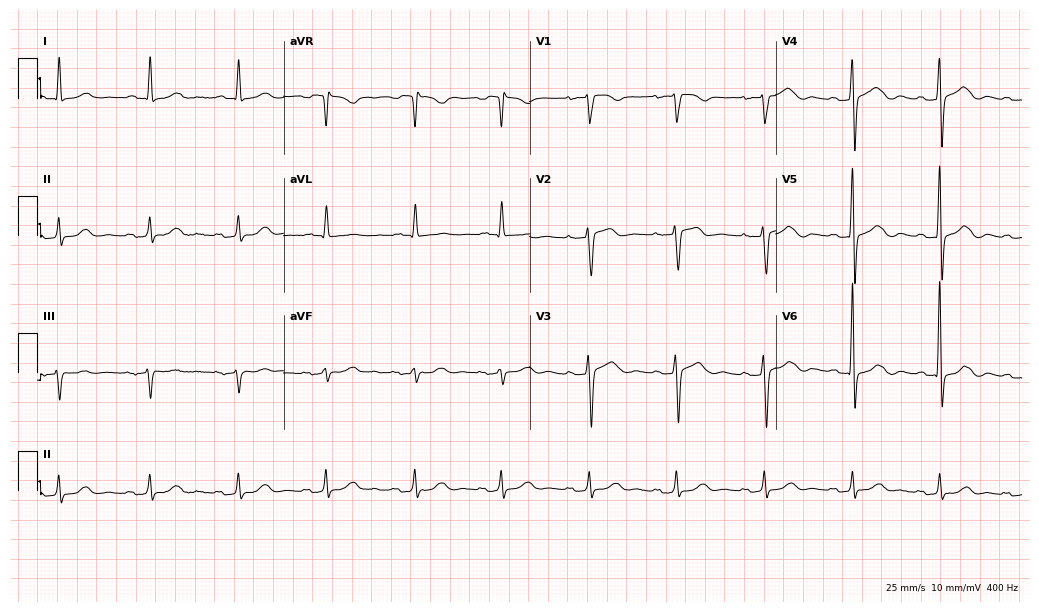
Electrocardiogram, a female patient, 79 years old. Interpretation includes first-degree AV block.